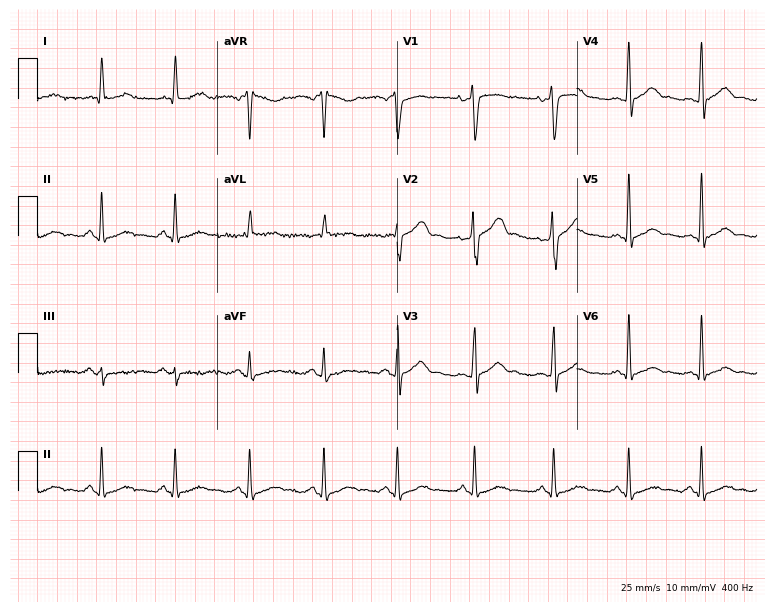
12-lead ECG (7.3-second recording at 400 Hz) from a 37-year-old male. Labelled as a normal ECG.